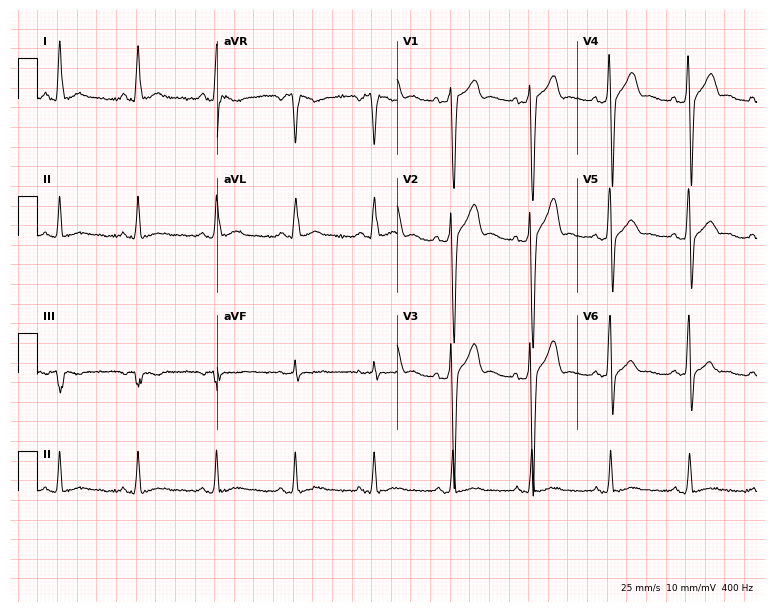
ECG (7.3-second recording at 400 Hz) — a 40-year-old man. Screened for six findings — first-degree AV block, right bundle branch block, left bundle branch block, sinus bradycardia, atrial fibrillation, sinus tachycardia — none is recorded. Other findings, if any, are not listed.